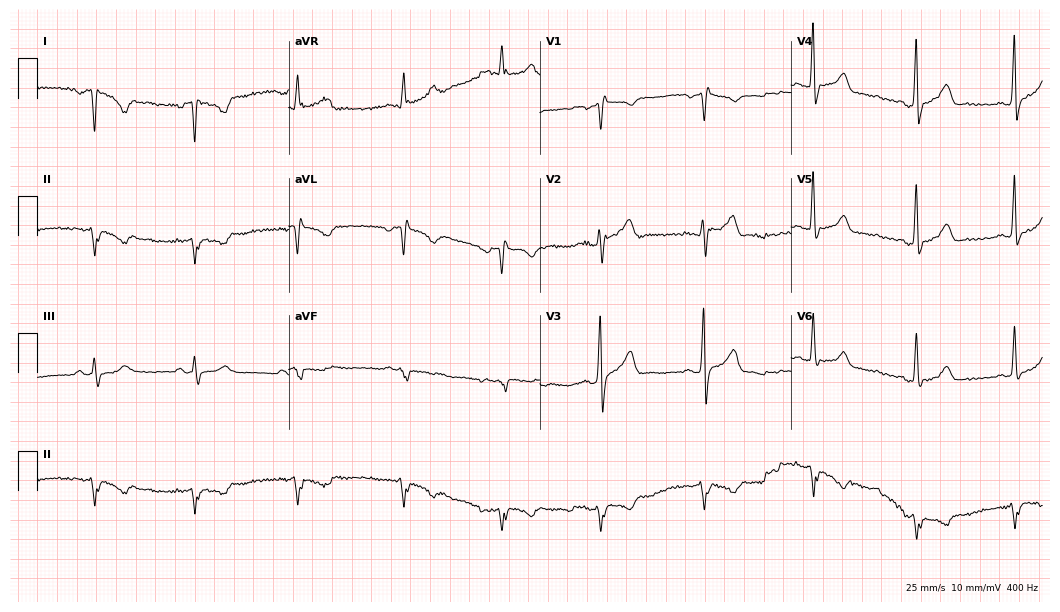
Resting 12-lead electrocardiogram. Patient: a male, 44 years old. None of these six findings is recorded: first-degree AV block, right bundle branch block, left bundle branch block, sinus bradycardia, atrial fibrillation, sinus tachycardia. Only these six findings were labelled.